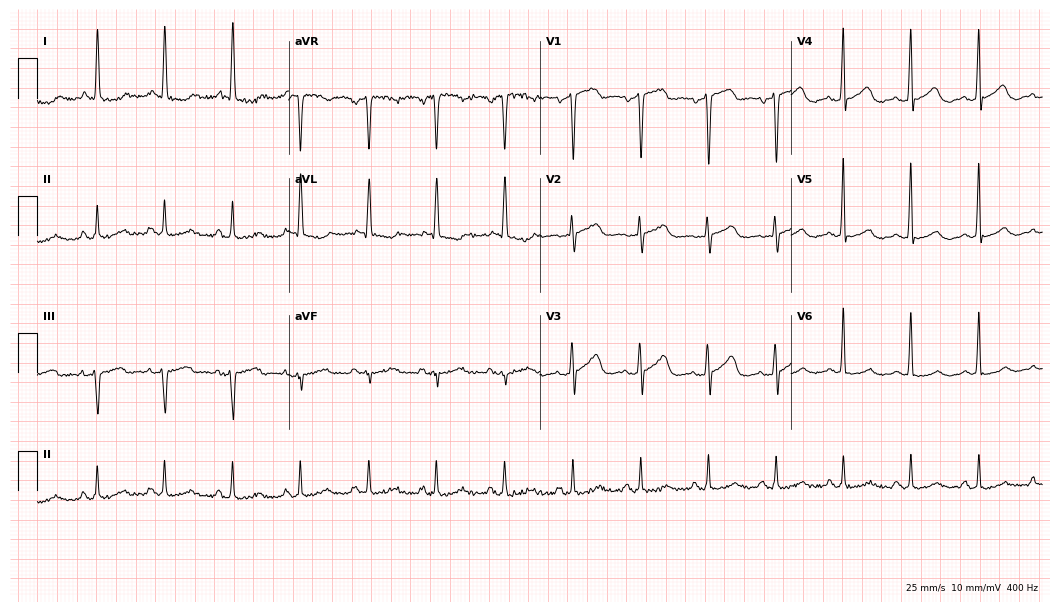
ECG (10.2-second recording at 400 Hz) — a 65-year-old female. Screened for six findings — first-degree AV block, right bundle branch block, left bundle branch block, sinus bradycardia, atrial fibrillation, sinus tachycardia — none is recorded. Findings outside these six are not listed.